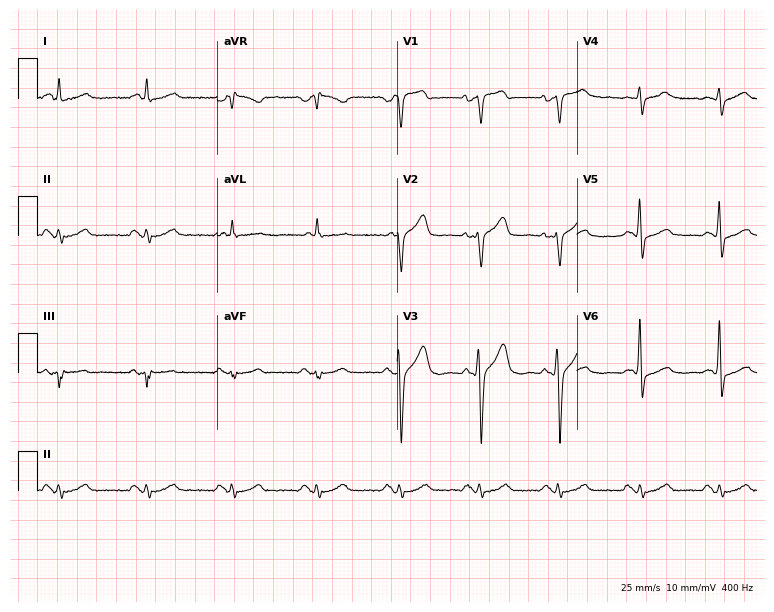
12-lead ECG from a 70-year-old male patient (7.3-second recording at 400 Hz). Recorded interpretation: within normal limits.